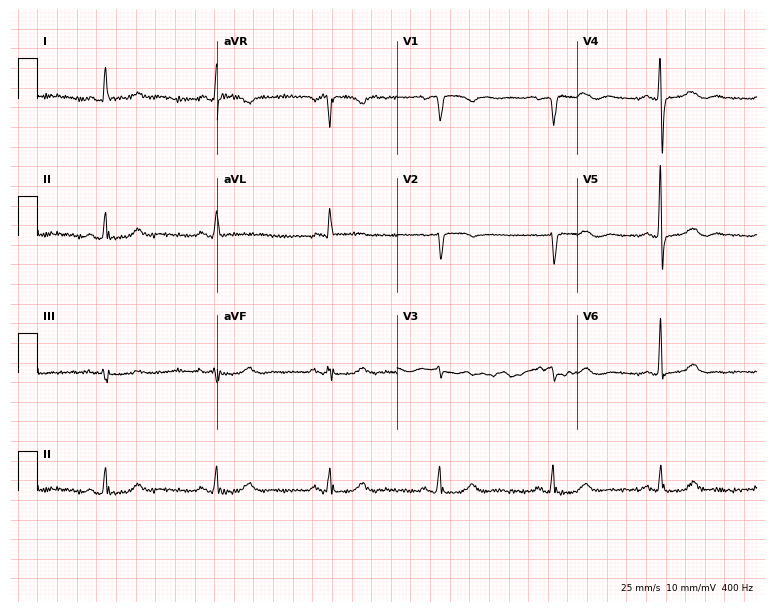
12-lead ECG from a 77-year-old female patient (7.3-second recording at 400 Hz). No first-degree AV block, right bundle branch block (RBBB), left bundle branch block (LBBB), sinus bradycardia, atrial fibrillation (AF) or sinus tachycardia recorded for this tracing.